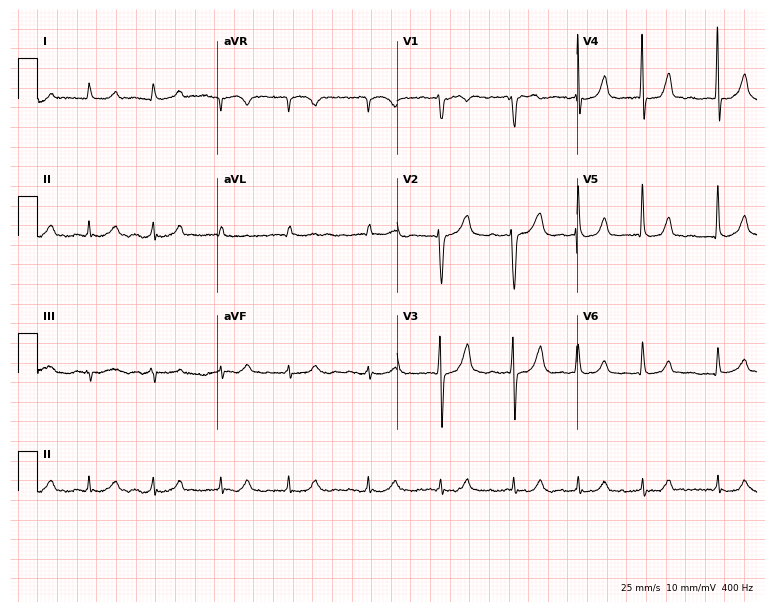
Resting 12-lead electrocardiogram (7.3-second recording at 400 Hz). Patient: a male, 74 years old. The tracing shows atrial fibrillation.